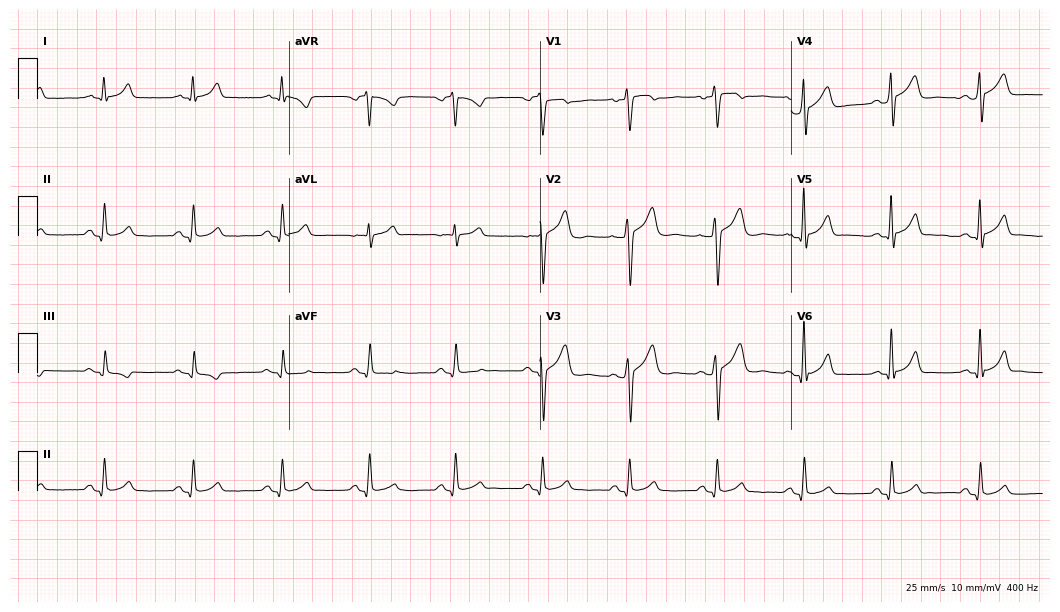
12-lead ECG (10.2-second recording at 400 Hz) from a 50-year-old man. Labelled as a normal ECG.